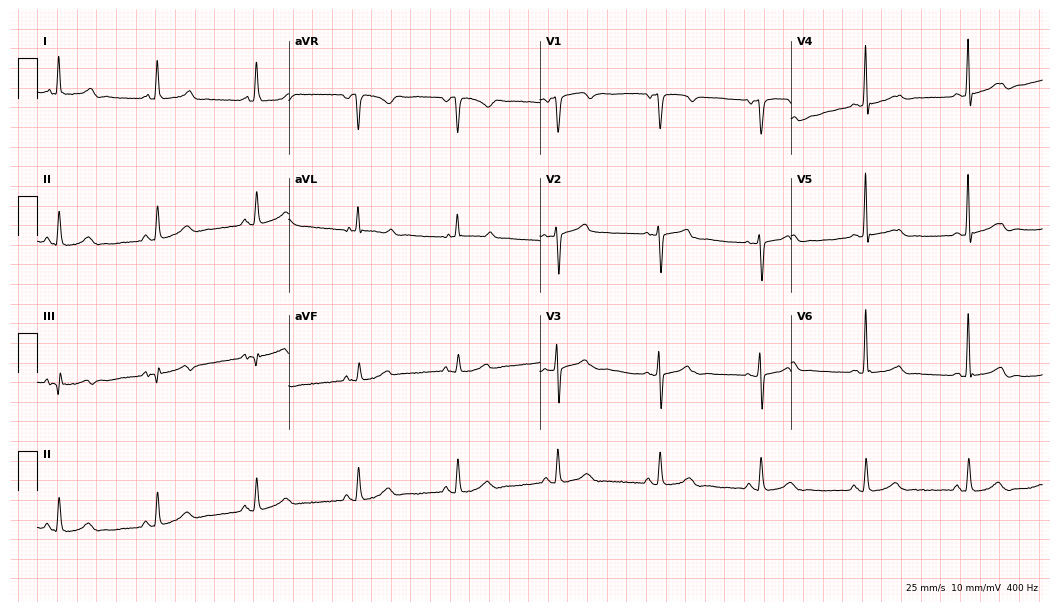
12-lead ECG from a 66-year-old female. Labelled as a normal ECG.